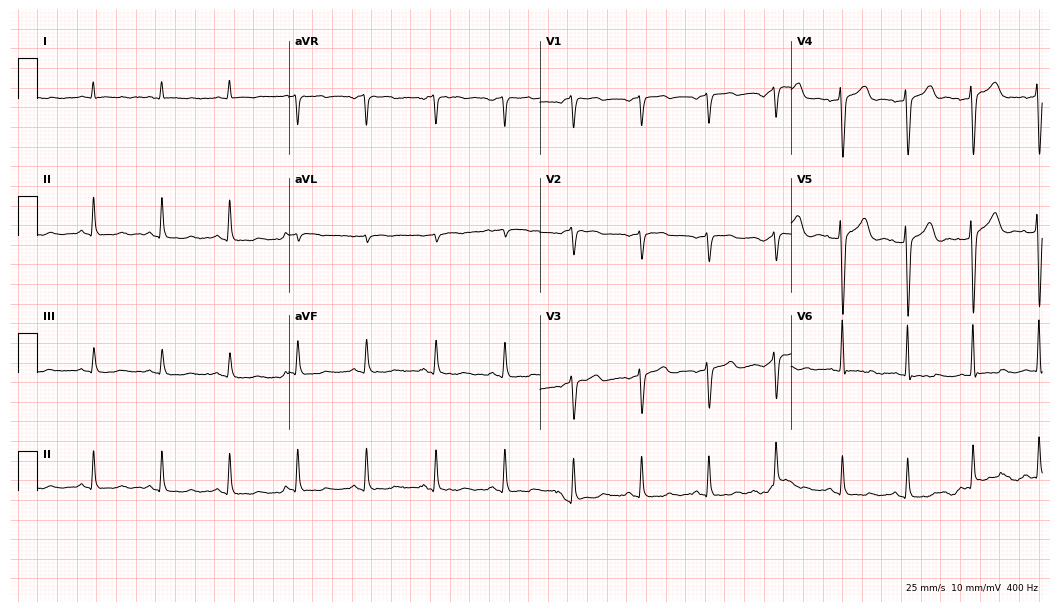
12-lead ECG from a 24-year-old man. No first-degree AV block, right bundle branch block (RBBB), left bundle branch block (LBBB), sinus bradycardia, atrial fibrillation (AF) or sinus tachycardia recorded for this tracing. Findings outside these six are not listed.